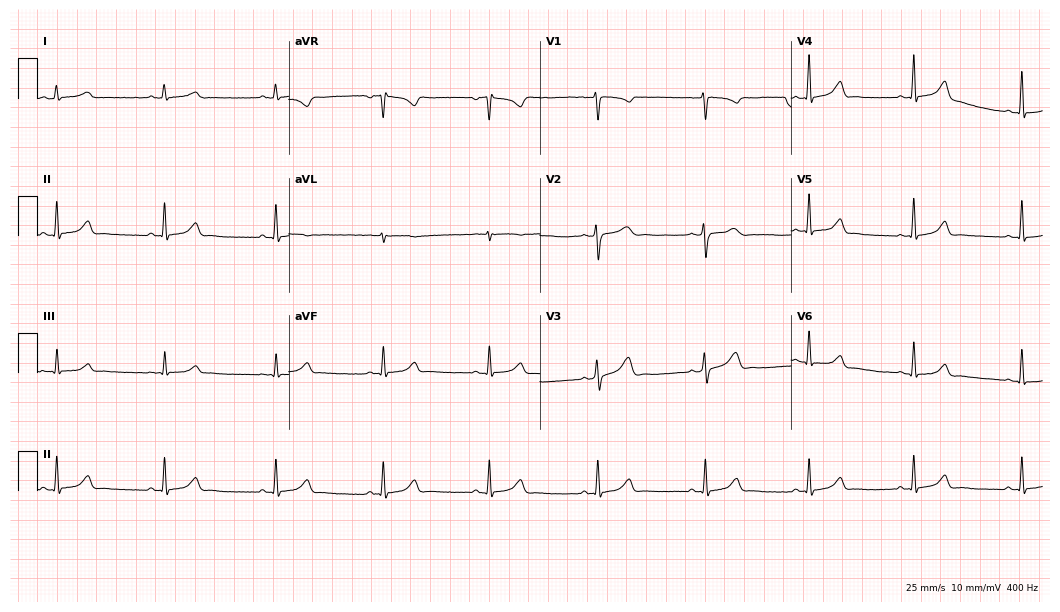
12-lead ECG (10.2-second recording at 400 Hz) from a female, 30 years old. Labelled as a normal ECG.